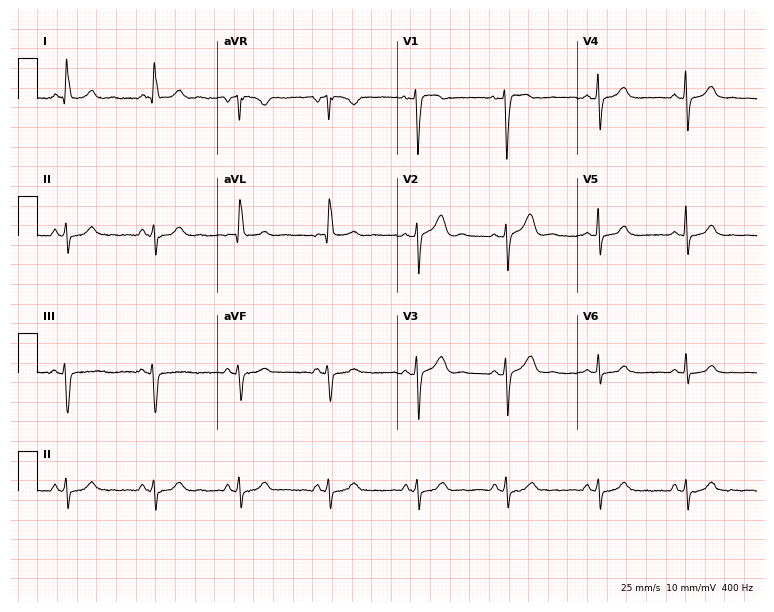
12-lead ECG (7.3-second recording at 400 Hz) from a woman, 67 years old. Screened for six findings — first-degree AV block, right bundle branch block, left bundle branch block, sinus bradycardia, atrial fibrillation, sinus tachycardia — none is recorded.